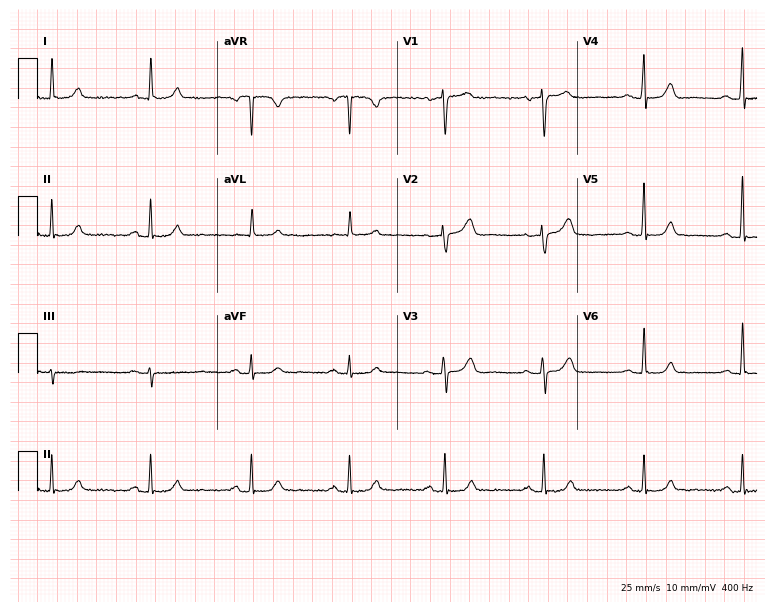
Resting 12-lead electrocardiogram (7.3-second recording at 400 Hz). Patient: a 58-year-old female. Read as a normal ECG.